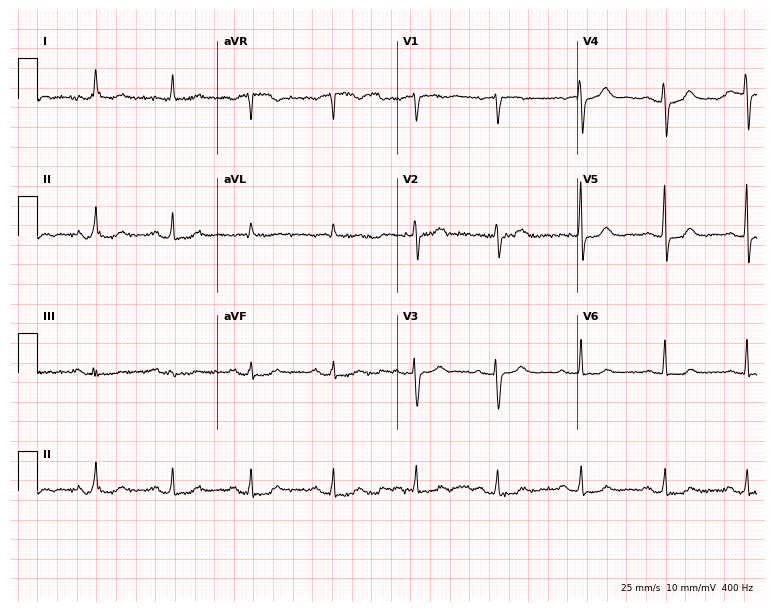
Electrocardiogram, a 71-year-old woman. Of the six screened findings (first-degree AV block, right bundle branch block (RBBB), left bundle branch block (LBBB), sinus bradycardia, atrial fibrillation (AF), sinus tachycardia), none is recorded.